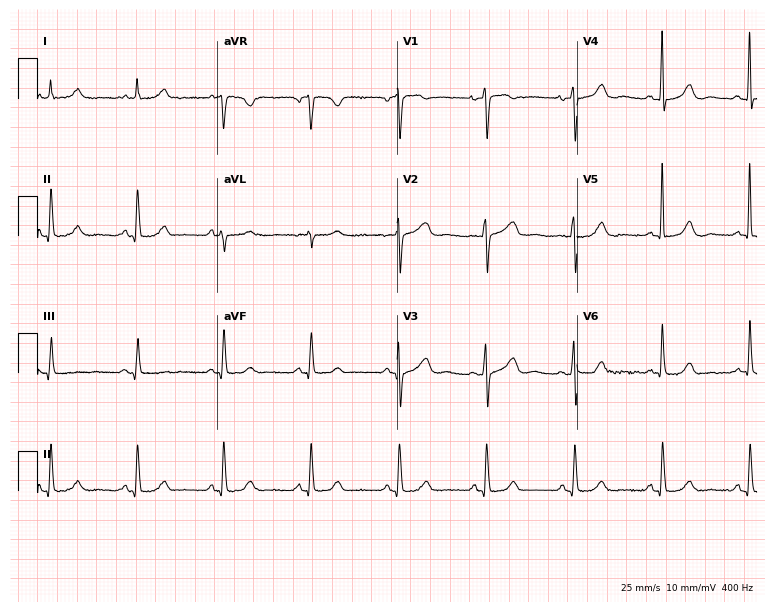
Standard 12-lead ECG recorded from a female, 70 years old (7.3-second recording at 400 Hz). Read as a normal ECG.